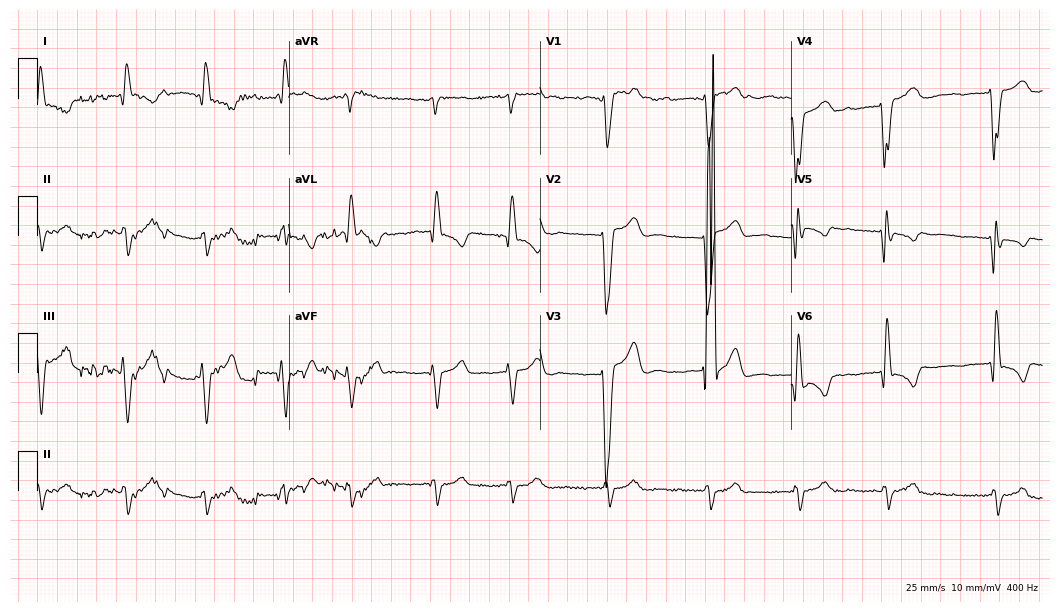
ECG — a 70-year-old woman. Findings include atrial fibrillation.